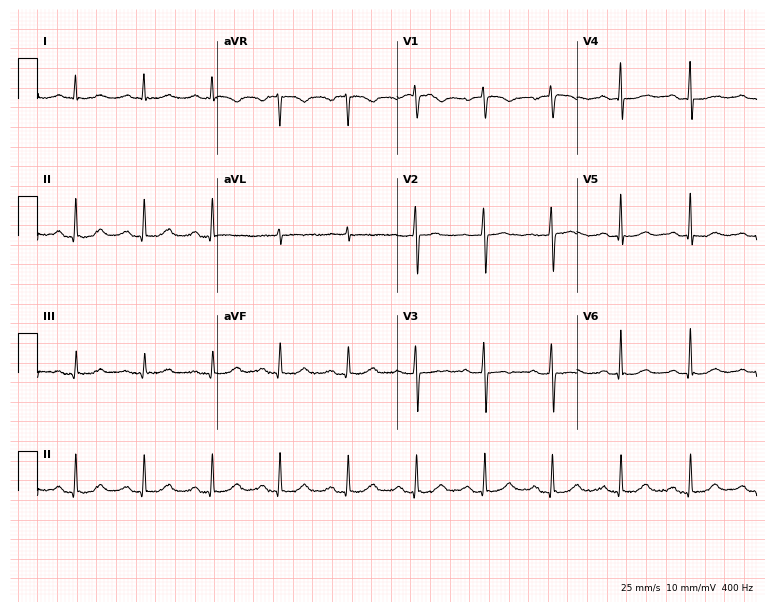
12-lead ECG from a 74-year-old female patient. No first-degree AV block, right bundle branch block, left bundle branch block, sinus bradycardia, atrial fibrillation or sinus tachycardia recorded for this tracing. Findings outside these six are not listed.